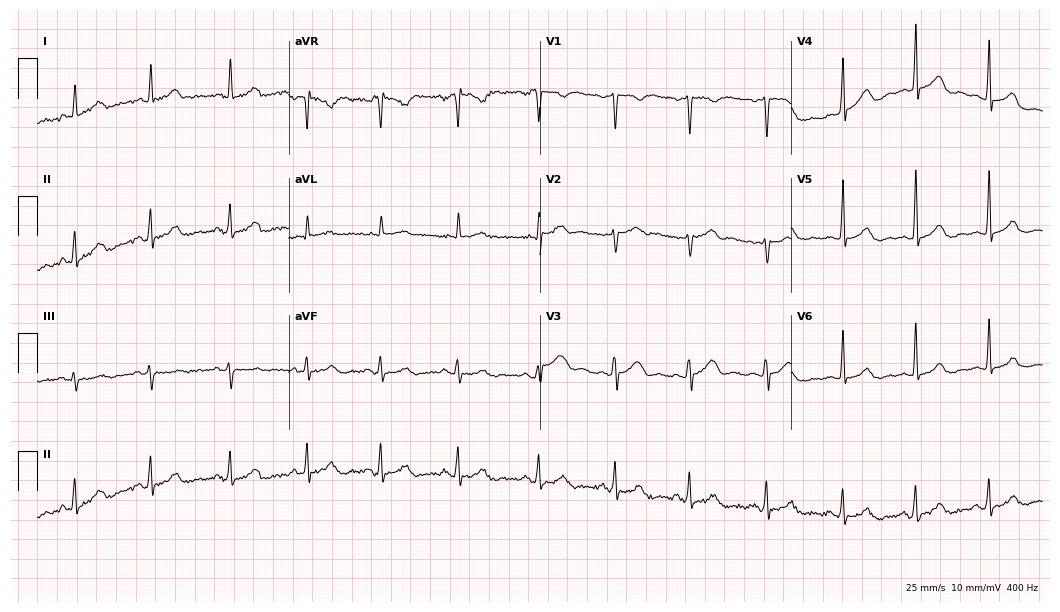
Resting 12-lead electrocardiogram. Patient: a 47-year-old female. Read as a normal ECG.